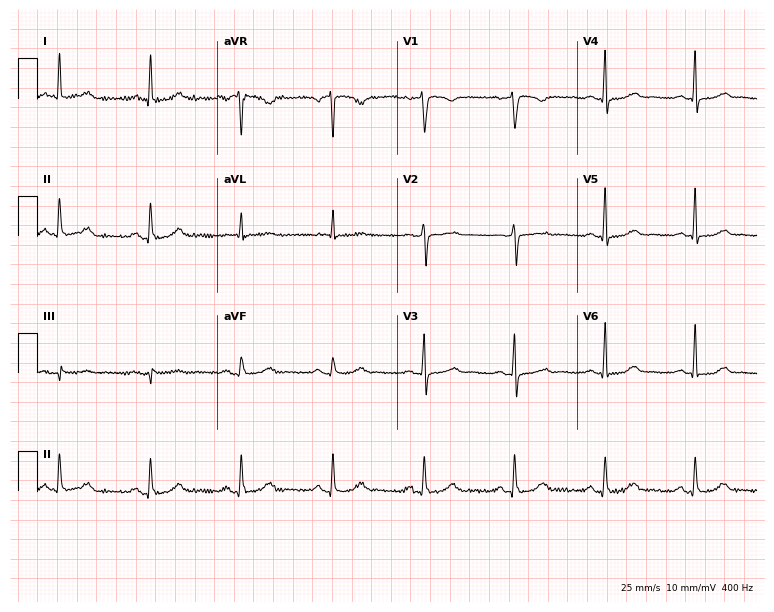
Electrocardiogram (7.3-second recording at 400 Hz), a 53-year-old female. Overall reading on record: normal ECG.